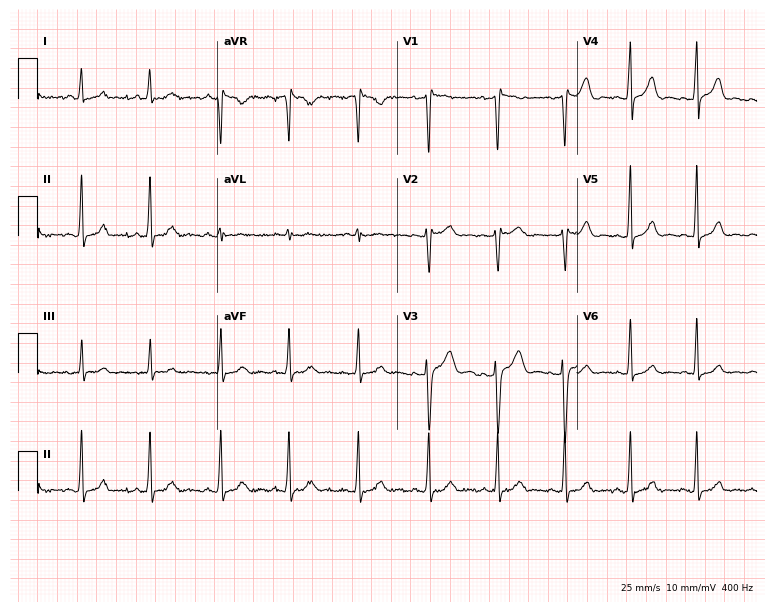
Standard 12-lead ECG recorded from a female, 27 years old. None of these six findings is recorded: first-degree AV block, right bundle branch block (RBBB), left bundle branch block (LBBB), sinus bradycardia, atrial fibrillation (AF), sinus tachycardia. Only these six findings were labelled.